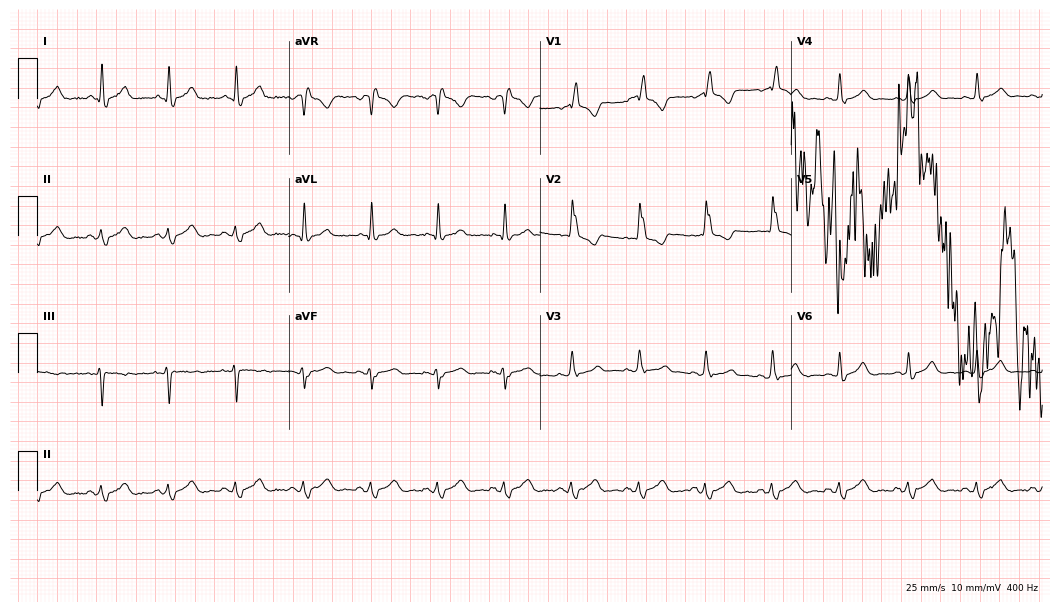
Standard 12-lead ECG recorded from a female, 54 years old. None of these six findings is recorded: first-degree AV block, right bundle branch block, left bundle branch block, sinus bradycardia, atrial fibrillation, sinus tachycardia. Findings outside these six are not listed.